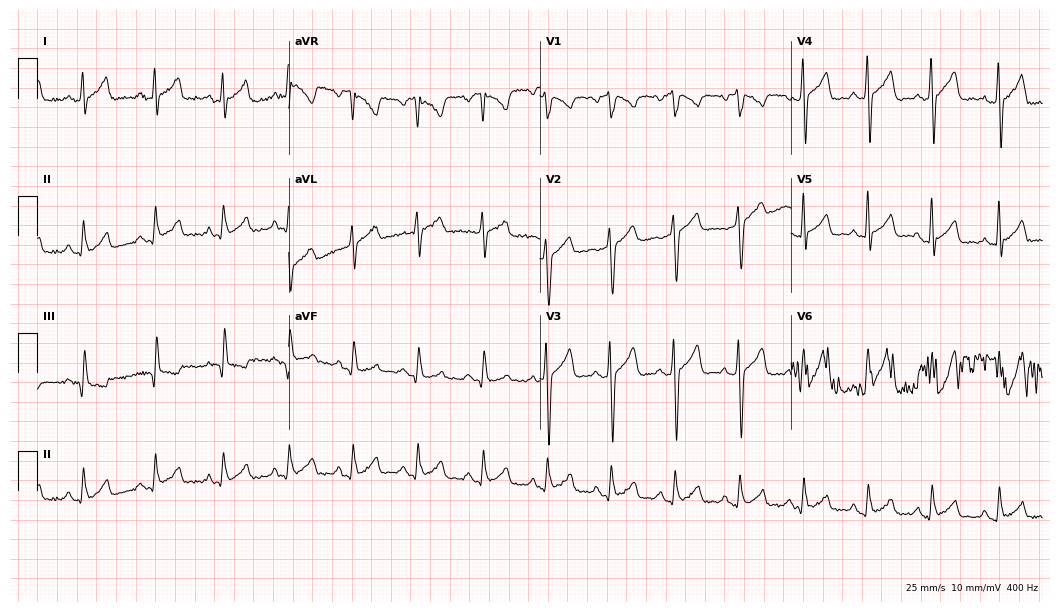
ECG (10.2-second recording at 400 Hz) — a male patient, 22 years old. Labelled as a normal ECG.